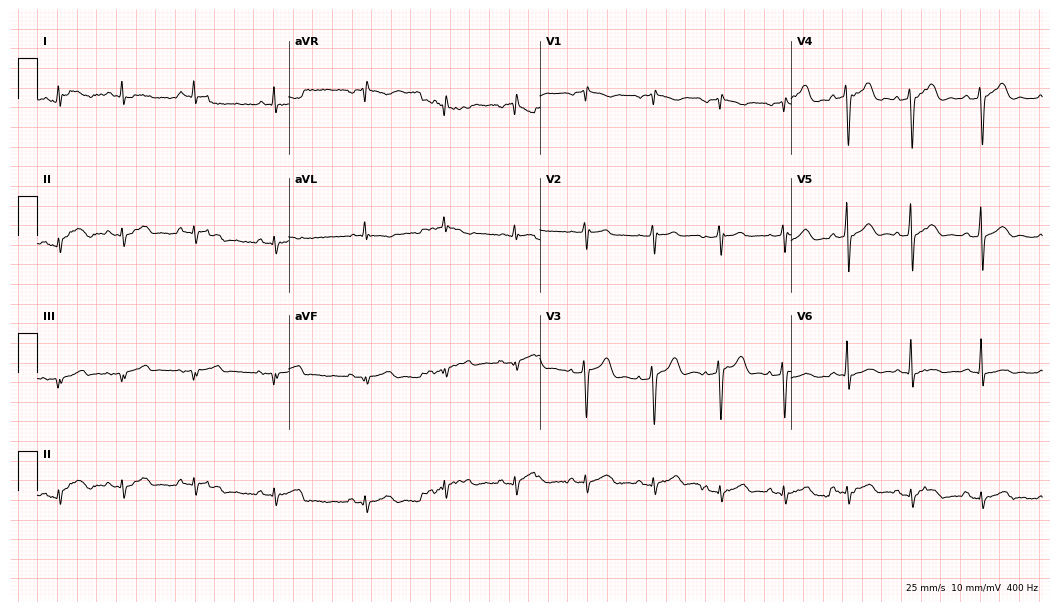
Electrocardiogram (10.2-second recording at 400 Hz), a 51-year-old male. Of the six screened findings (first-degree AV block, right bundle branch block (RBBB), left bundle branch block (LBBB), sinus bradycardia, atrial fibrillation (AF), sinus tachycardia), none is recorded.